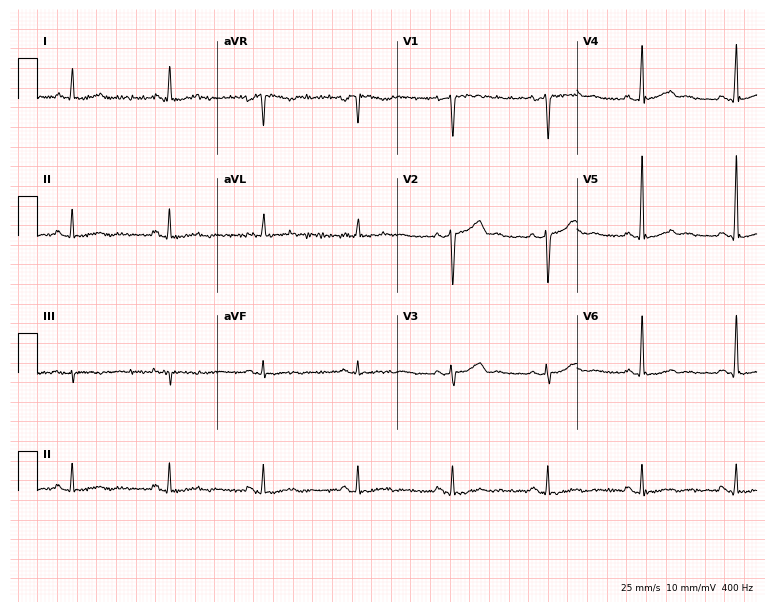
Standard 12-lead ECG recorded from a 42-year-old male (7.3-second recording at 400 Hz). None of these six findings is recorded: first-degree AV block, right bundle branch block, left bundle branch block, sinus bradycardia, atrial fibrillation, sinus tachycardia.